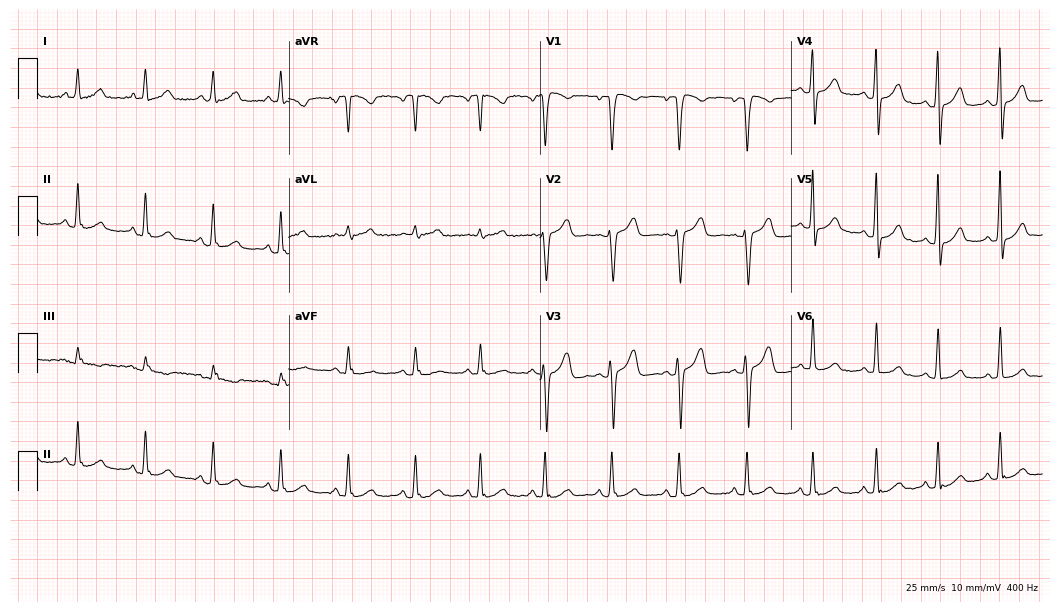
Standard 12-lead ECG recorded from a female, 33 years old (10.2-second recording at 400 Hz). None of these six findings is recorded: first-degree AV block, right bundle branch block, left bundle branch block, sinus bradycardia, atrial fibrillation, sinus tachycardia.